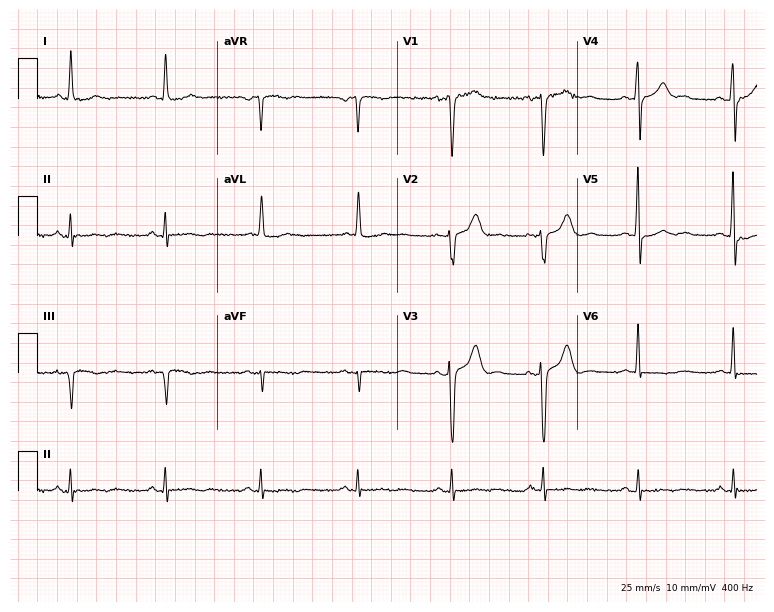
Electrocardiogram (7.3-second recording at 400 Hz), a 44-year-old man. Of the six screened findings (first-degree AV block, right bundle branch block (RBBB), left bundle branch block (LBBB), sinus bradycardia, atrial fibrillation (AF), sinus tachycardia), none is recorded. Other findings, if any, are not listed.